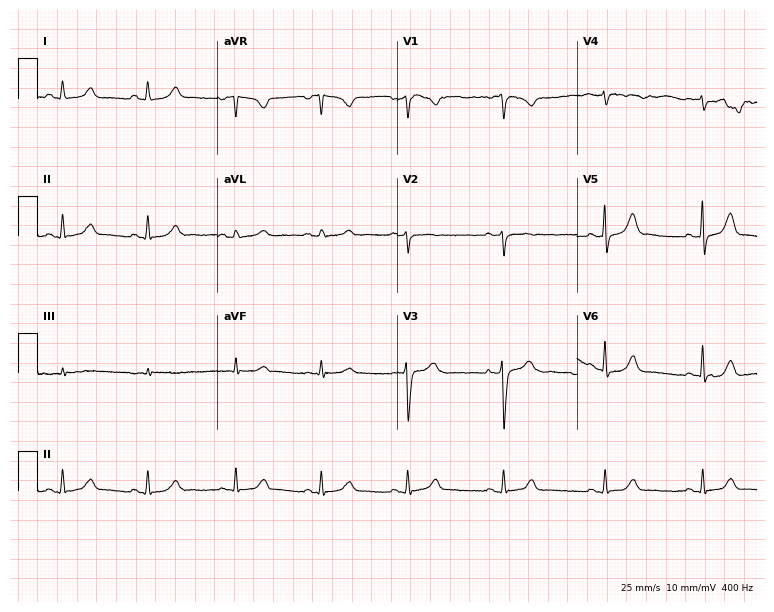
12-lead ECG from a 34-year-old woman (7.3-second recording at 400 Hz). Recorded interpretation: within normal limits.